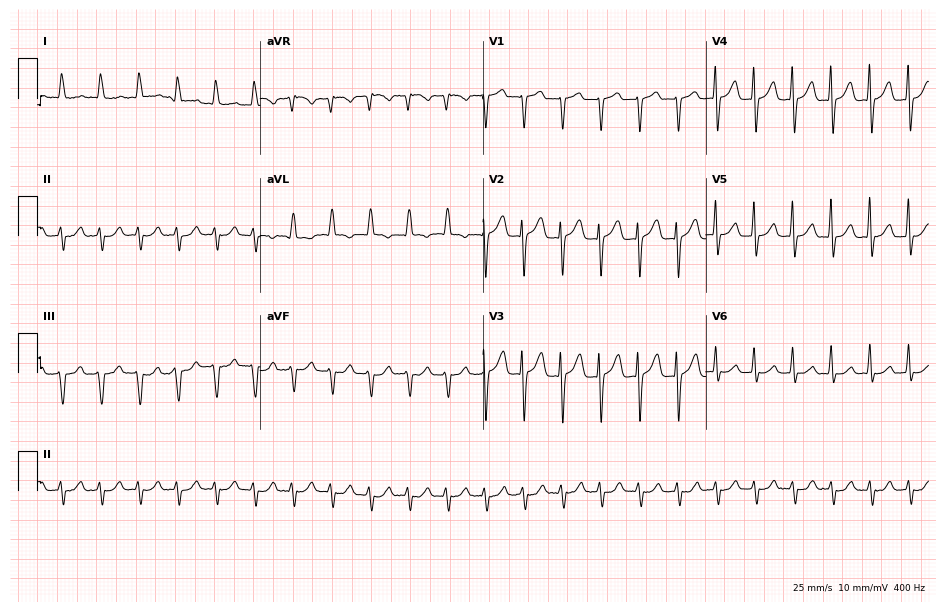
Electrocardiogram (9.1-second recording at 400 Hz), an 85-year-old female. Of the six screened findings (first-degree AV block, right bundle branch block, left bundle branch block, sinus bradycardia, atrial fibrillation, sinus tachycardia), none is recorded.